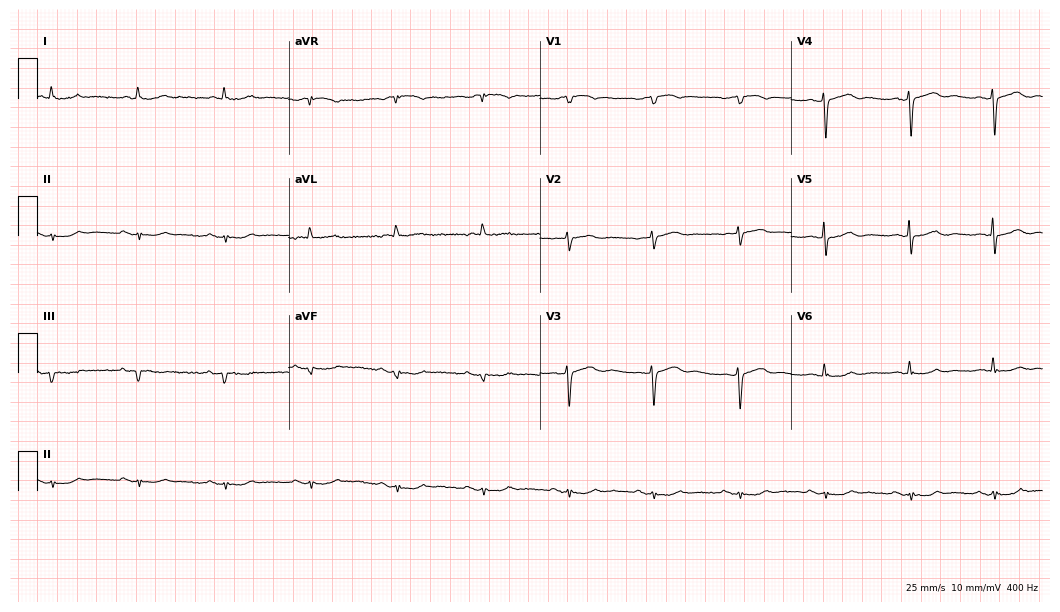
Electrocardiogram (10.2-second recording at 400 Hz), an 86-year-old woman. Of the six screened findings (first-degree AV block, right bundle branch block, left bundle branch block, sinus bradycardia, atrial fibrillation, sinus tachycardia), none is recorded. Findings outside these six are not listed.